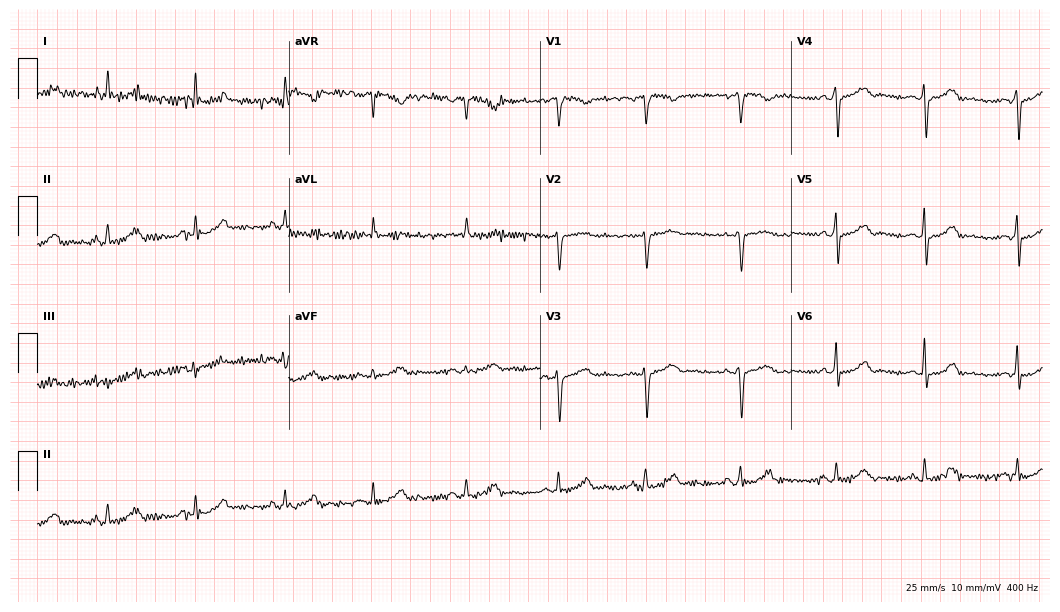
ECG (10.2-second recording at 400 Hz) — a 43-year-old woman. Screened for six findings — first-degree AV block, right bundle branch block, left bundle branch block, sinus bradycardia, atrial fibrillation, sinus tachycardia — none is recorded. Other findings, if any, are not listed.